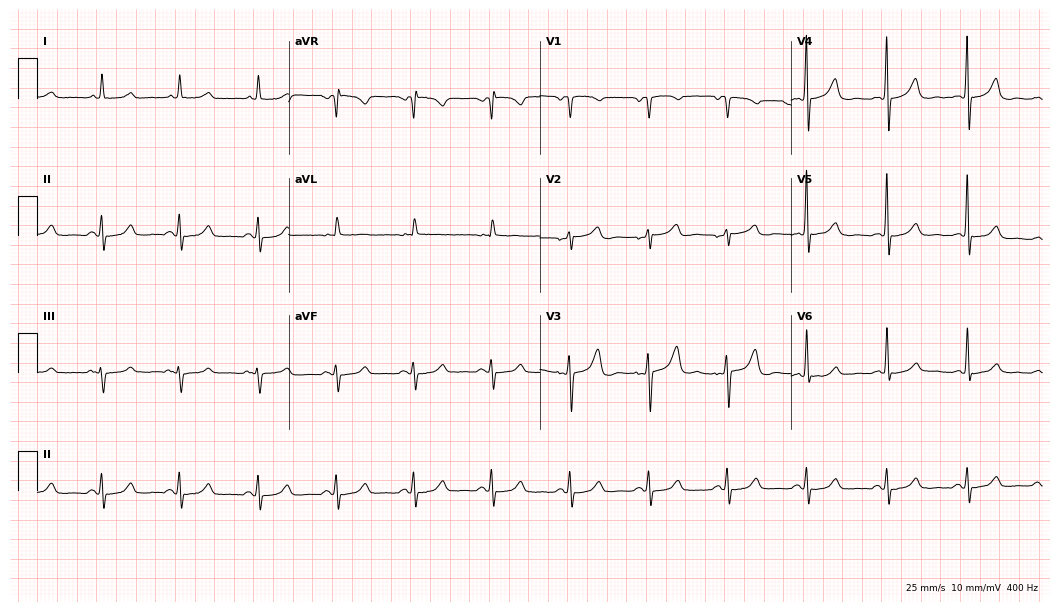
ECG (10.2-second recording at 400 Hz) — a female patient, 64 years old. Screened for six findings — first-degree AV block, right bundle branch block, left bundle branch block, sinus bradycardia, atrial fibrillation, sinus tachycardia — none is recorded.